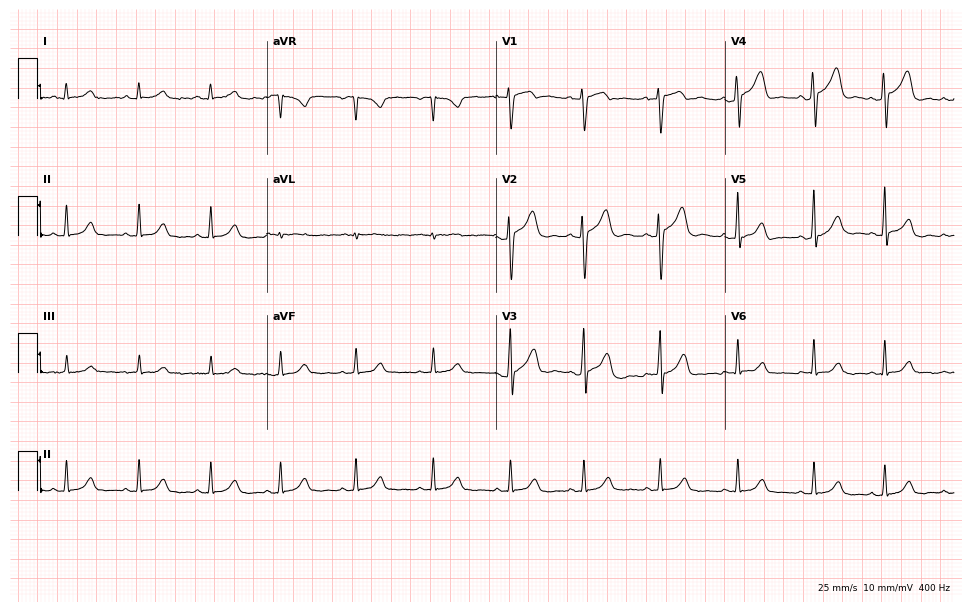
Electrocardiogram (9.3-second recording at 400 Hz), a female, 38 years old. Overall reading on record: normal ECG.